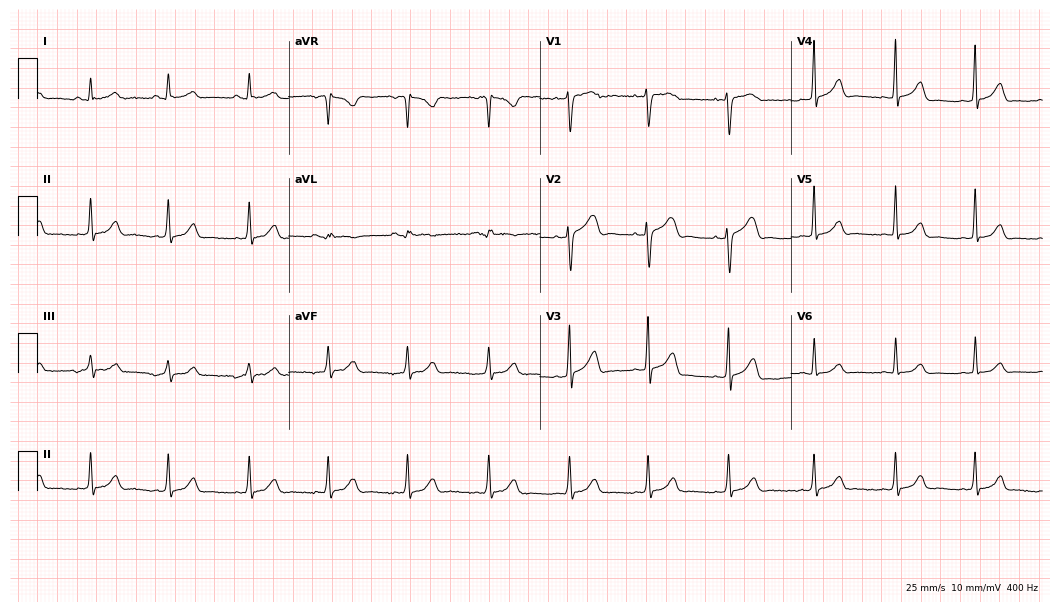
Standard 12-lead ECG recorded from a 17-year-old female patient. Read as a normal ECG.